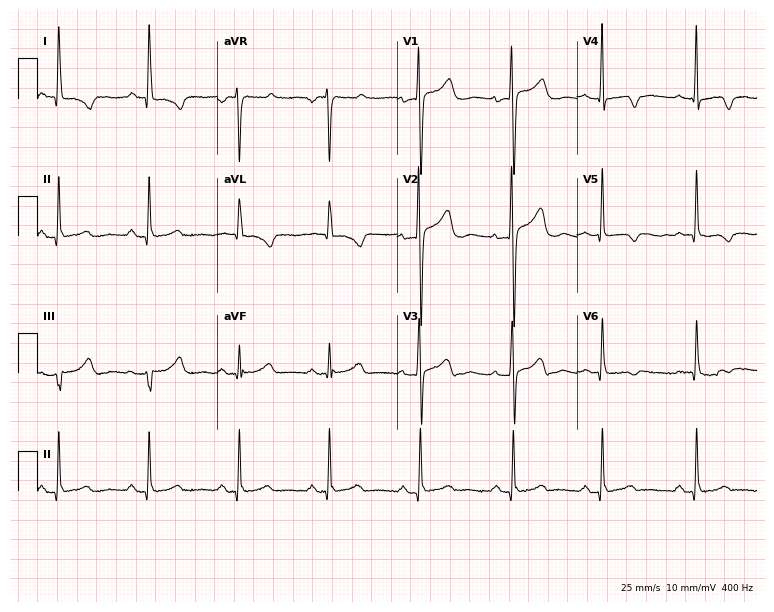
ECG — a 57-year-old woman. Screened for six findings — first-degree AV block, right bundle branch block, left bundle branch block, sinus bradycardia, atrial fibrillation, sinus tachycardia — none is recorded. Only these six findings were labelled.